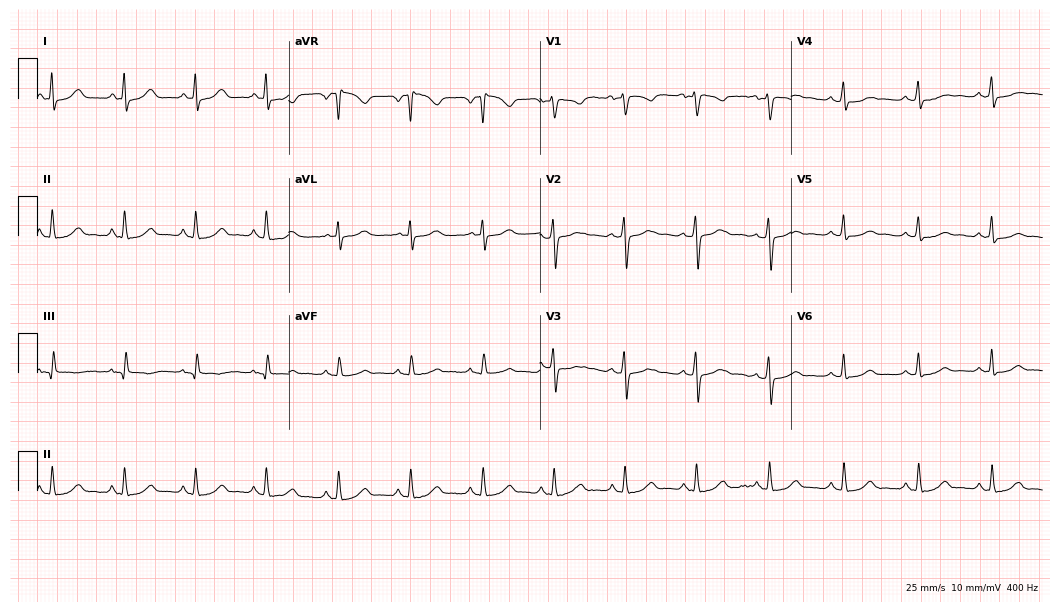
Resting 12-lead electrocardiogram. Patient: a woman, 30 years old. Read as a normal ECG.